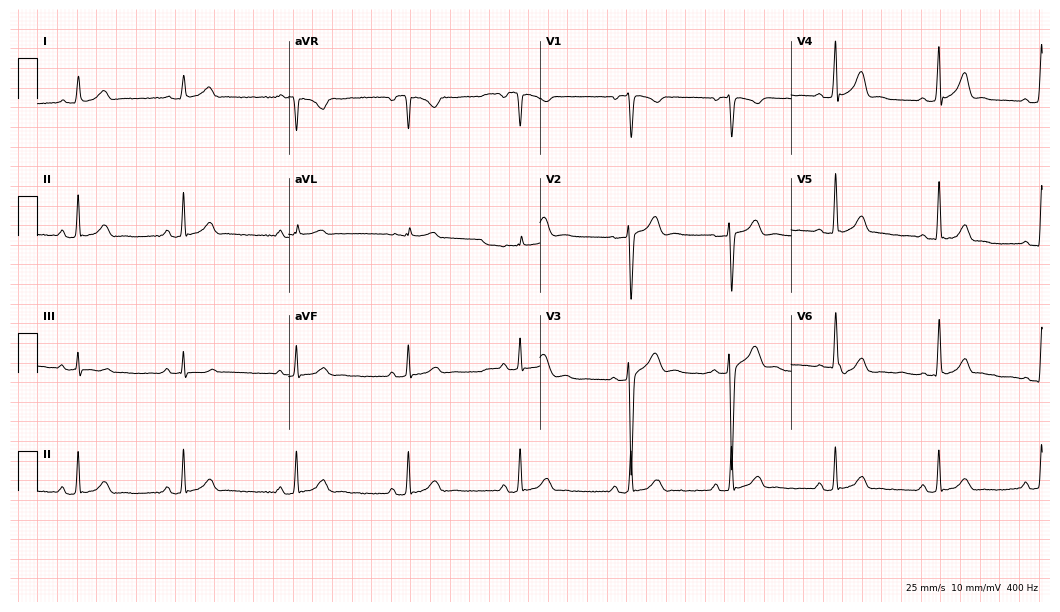
12-lead ECG from a man, 32 years old. Recorded interpretation: within normal limits.